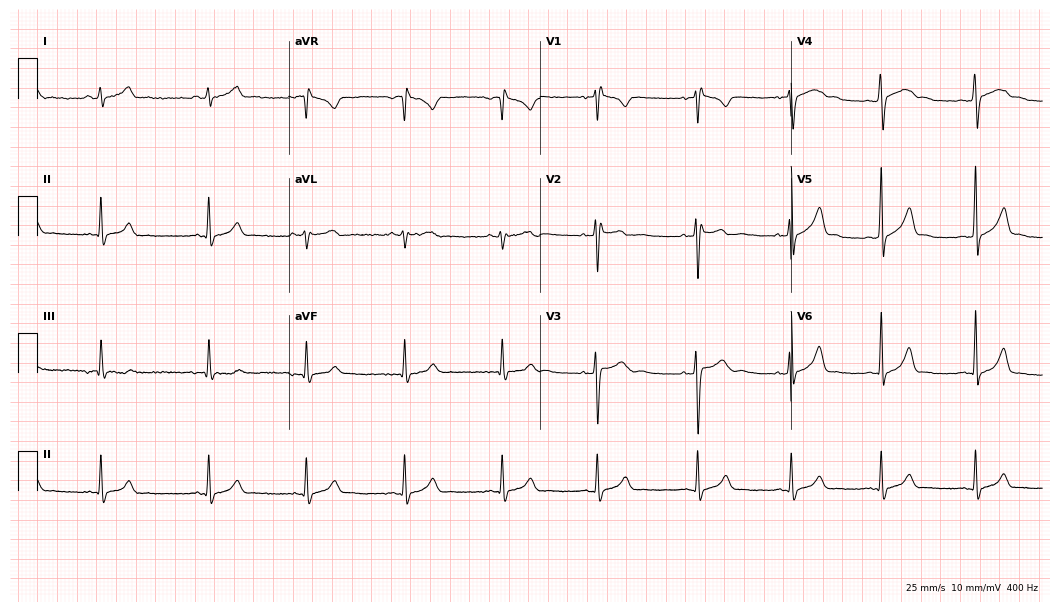
Resting 12-lead electrocardiogram (10.2-second recording at 400 Hz). Patient: a man, 18 years old. Read as a normal ECG.